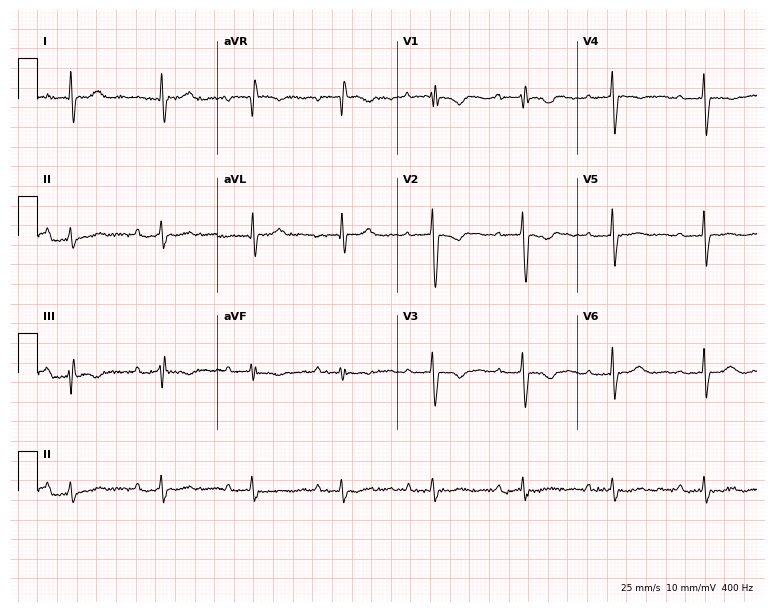
12-lead ECG from a female, 86 years old. Findings include first-degree AV block.